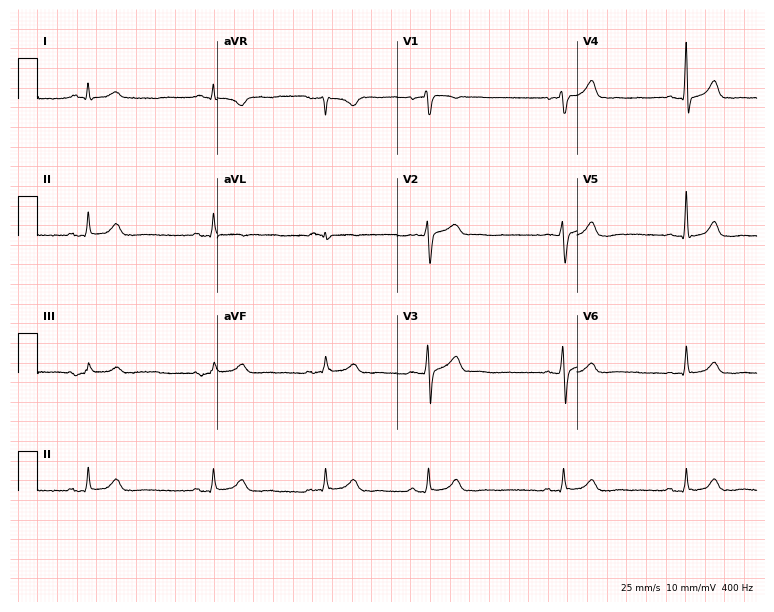
12-lead ECG from a male, 58 years old. Recorded interpretation: within normal limits.